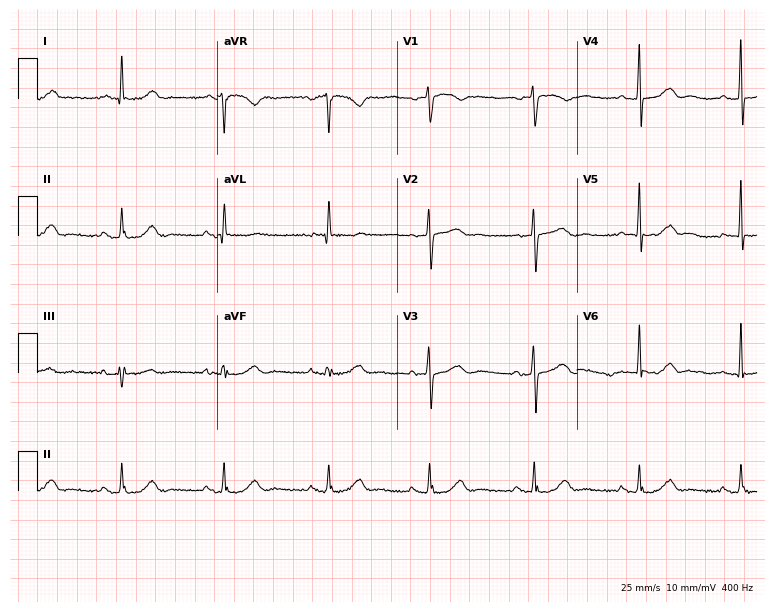
Resting 12-lead electrocardiogram. Patient: an 80-year-old female. Read as a normal ECG.